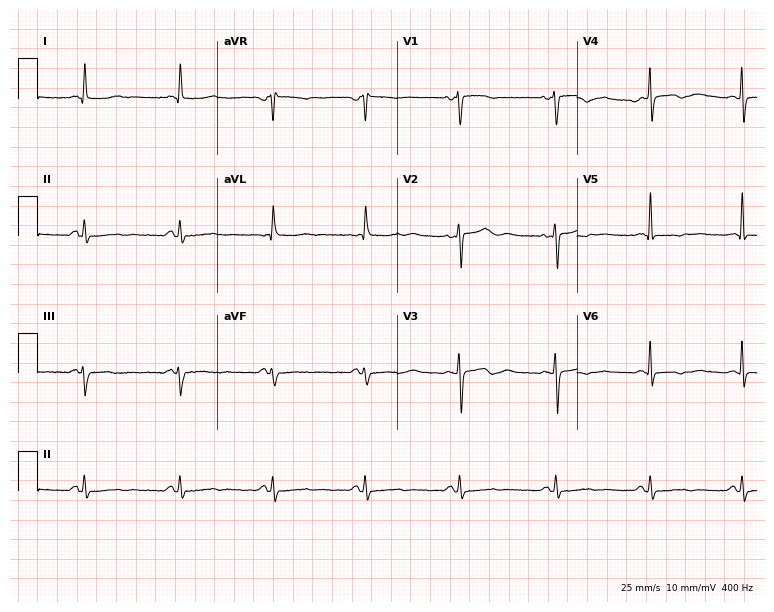
Resting 12-lead electrocardiogram. Patient: a 49-year-old female. Read as a normal ECG.